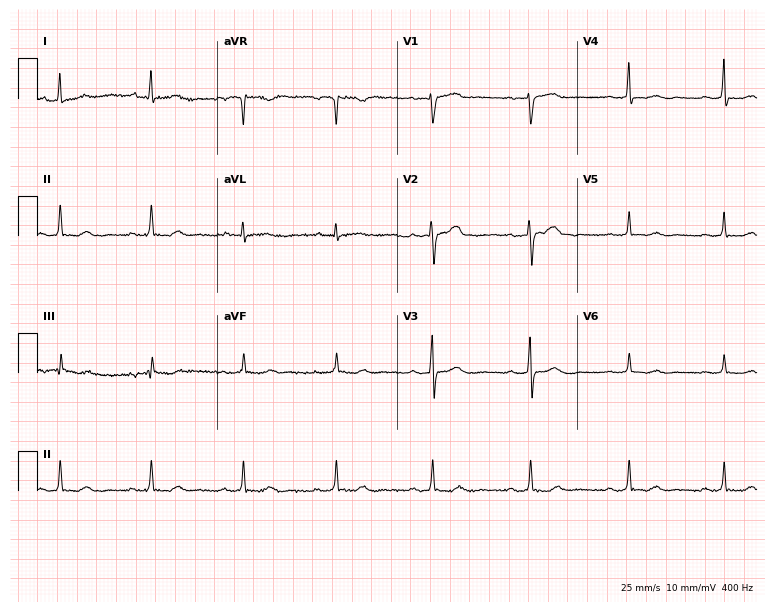
Standard 12-lead ECG recorded from a female, 40 years old (7.3-second recording at 400 Hz). None of these six findings is recorded: first-degree AV block, right bundle branch block, left bundle branch block, sinus bradycardia, atrial fibrillation, sinus tachycardia. Findings outside these six are not listed.